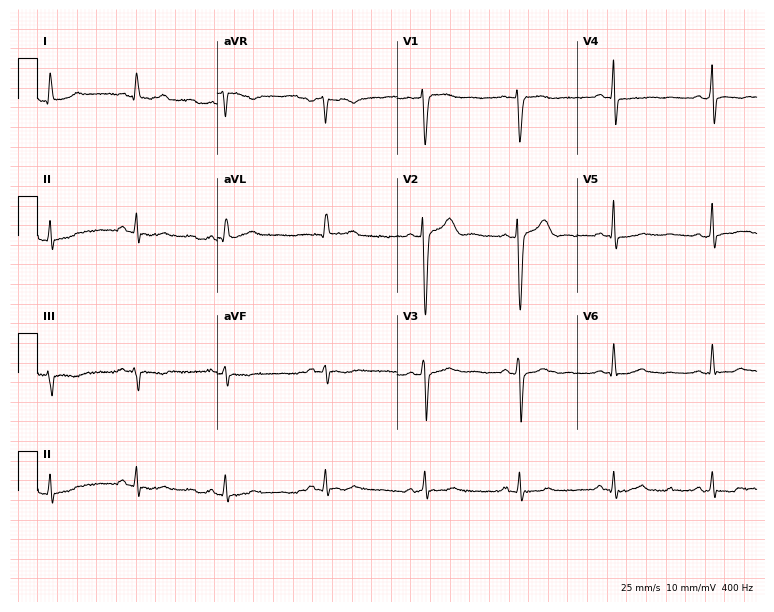
Electrocardiogram, a male, 60 years old. Of the six screened findings (first-degree AV block, right bundle branch block (RBBB), left bundle branch block (LBBB), sinus bradycardia, atrial fibrillation (AF), sinus tachycardia), none is recorded.